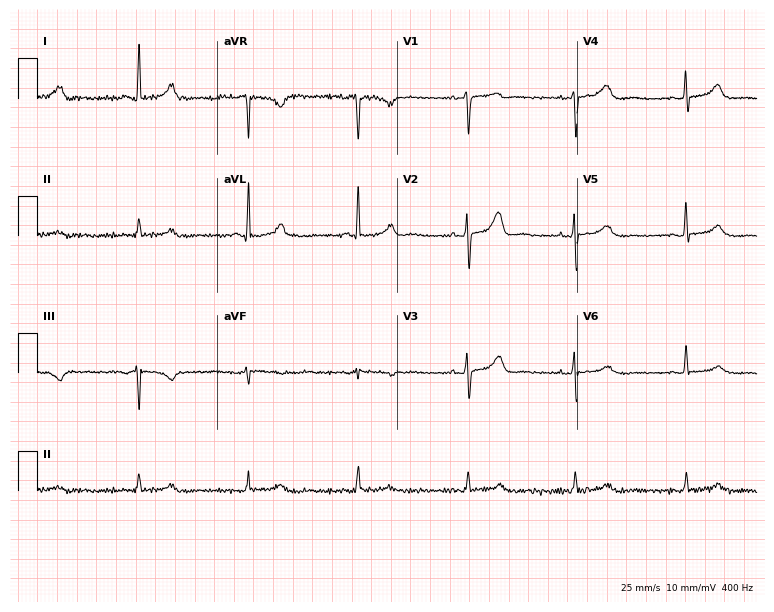
Standard 12-lead ECG recorded from a woman, 52 years old. Read as a normal ECG.